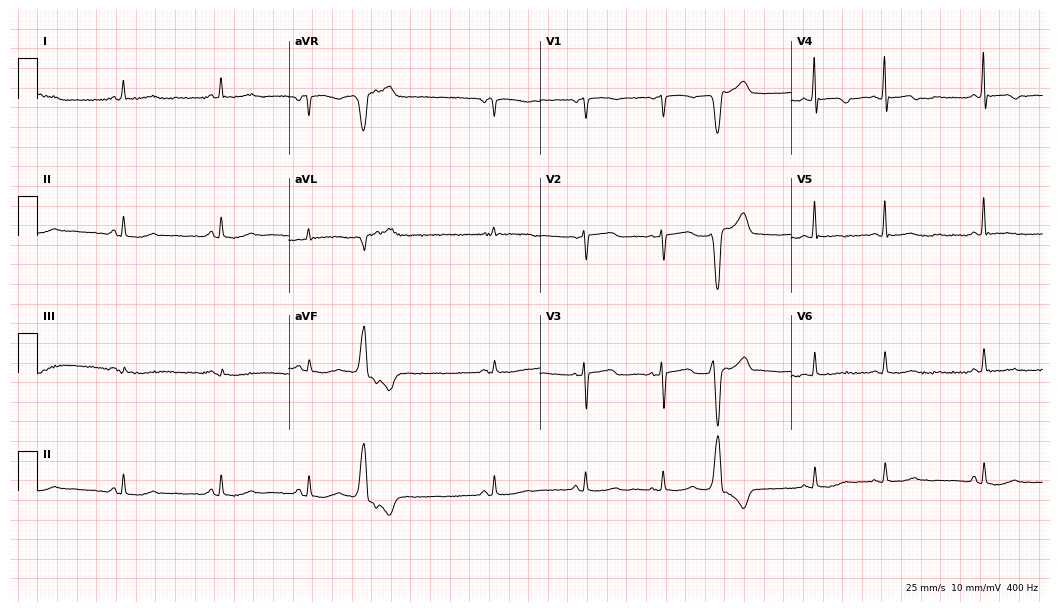
Resting 12-lead electrocardiogram (10.2-second recording at 400 Hz). Patient: a woman, 76 years old. None of these six findings is recorded: first-degree AV block, right bundle branch block, left bundle branch block, sinus bradycardia, atrial fibrillation, sinus tachycardia.